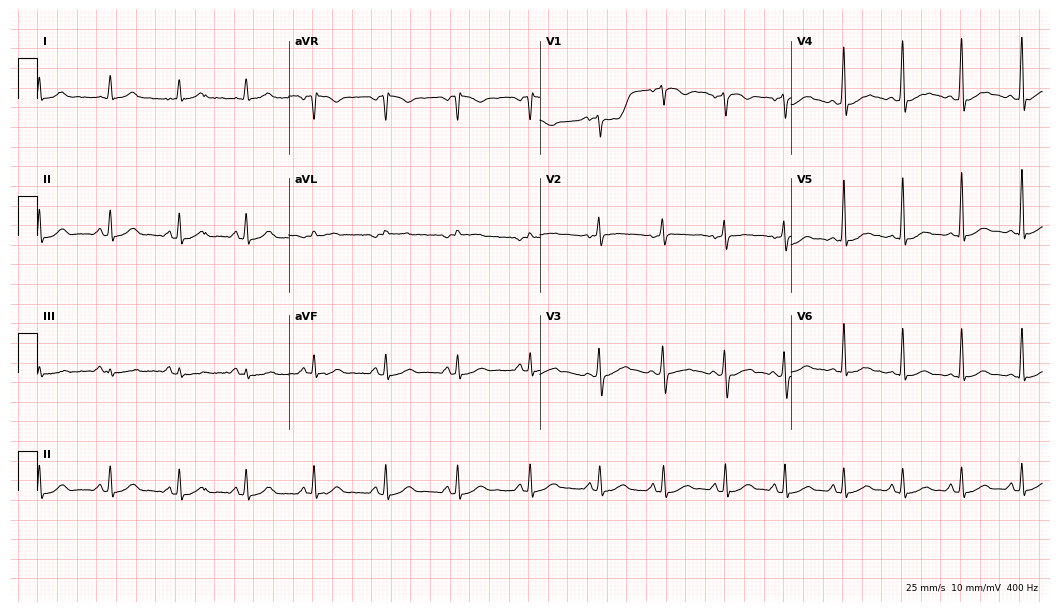
Electrocardiogram, a male patient, 54 years old. Of the six screened findings (first-degree AV block, right bundle branch block (RBBB), left bundle branch block (LBBB), sinus bradycardia, atrial fibrillation (AF), sinus tachycardia), none is recorded. Other findings, if any, are not listed.